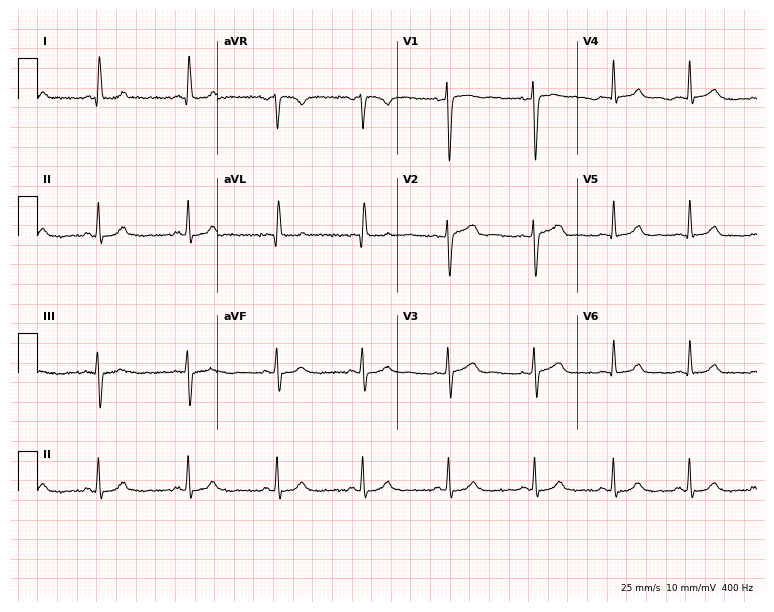
Electrocardiogram, a woman, 28 years old. Overall reading on record: normal ECG.